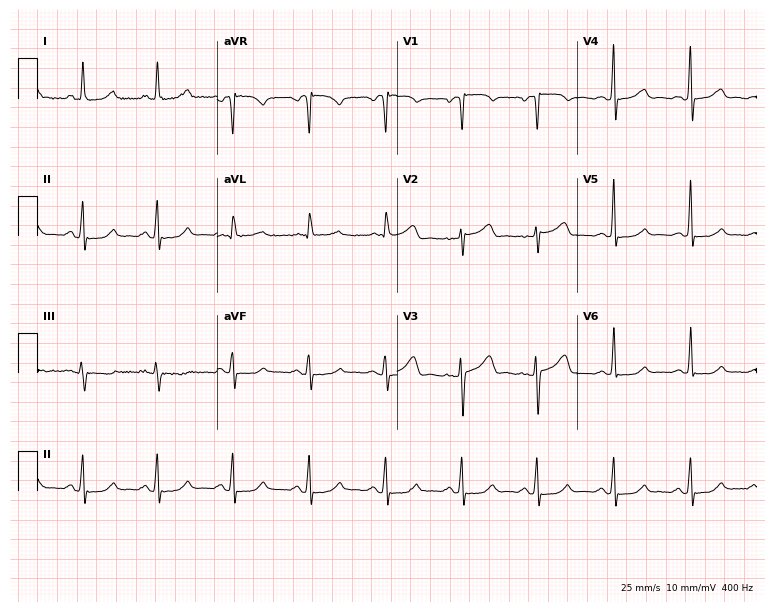
Standard 12-lead ECG recorded from a female, 61 years old (7.3-second recording at 400 Hz). None of these six findings is recorded: first-degree AV block, right bundle branch block, left bundle branch block, sinus bradycardia, atrial fibrillation, sinus tachycardia.